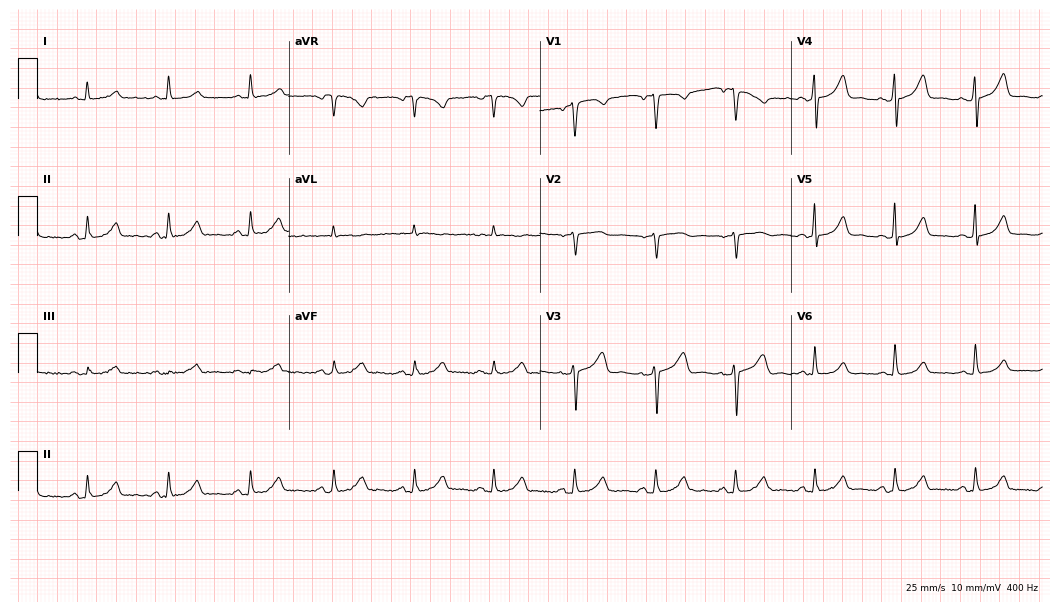
Standard 12-lead ECG recorded from a 43-year-old female (10.2-second recording at 400 Hz). Read as a normal ECG.